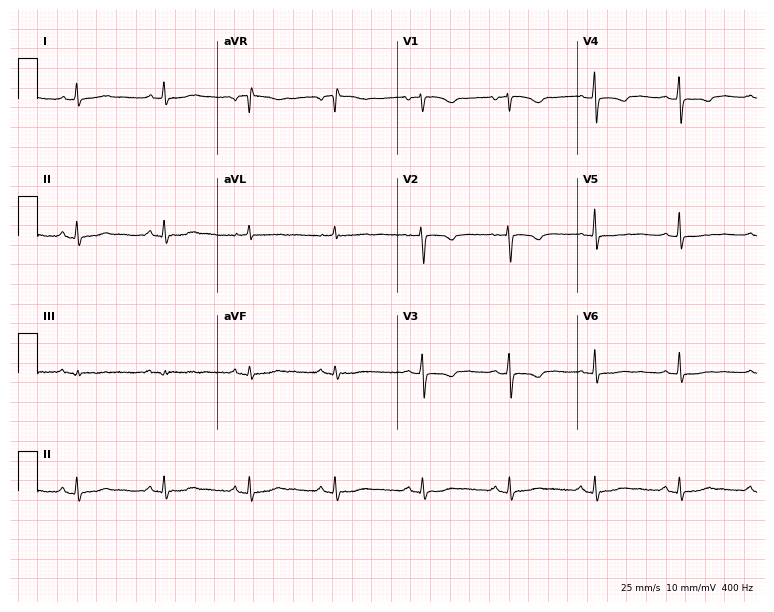
12-lead ECG (7.3-second recording at 400 Hz) from a 66-year-old woman. Screened for six findings — first-degree AV block, right bundle branch block (RBBB), left bundle branch block (LBBB), sinus bradycardia, atrial fibrillation (AF), sinus tachycardia — none is recorded. Other findings, if any, are not listed.